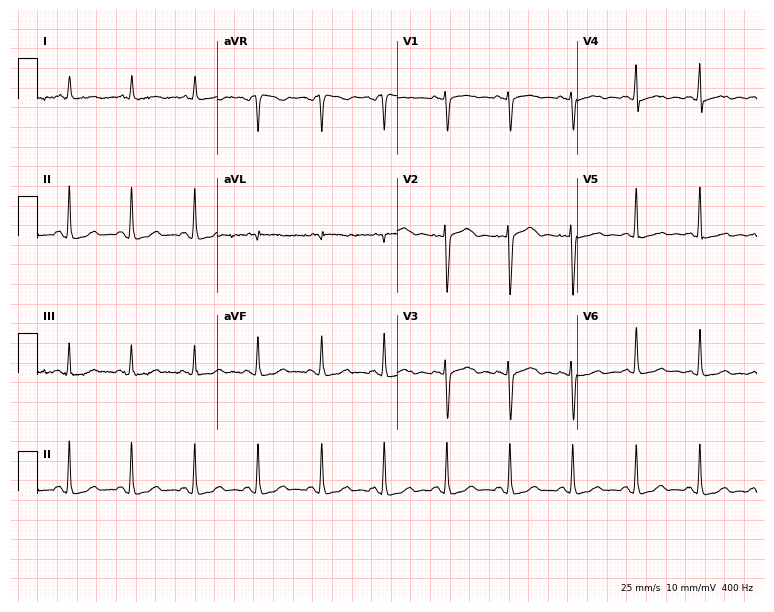
ECG (7.3-second recording at 400 Hz) — a female patient, 56 years old. Screened for six findings — first-degree AV block, right bundle branch block (RBBB), left bundle branch block (LBBB), sinus bradycardia, atrial fibrillation (AF), sinus tachycardia — none is recorded. Only these six findings were labelled.